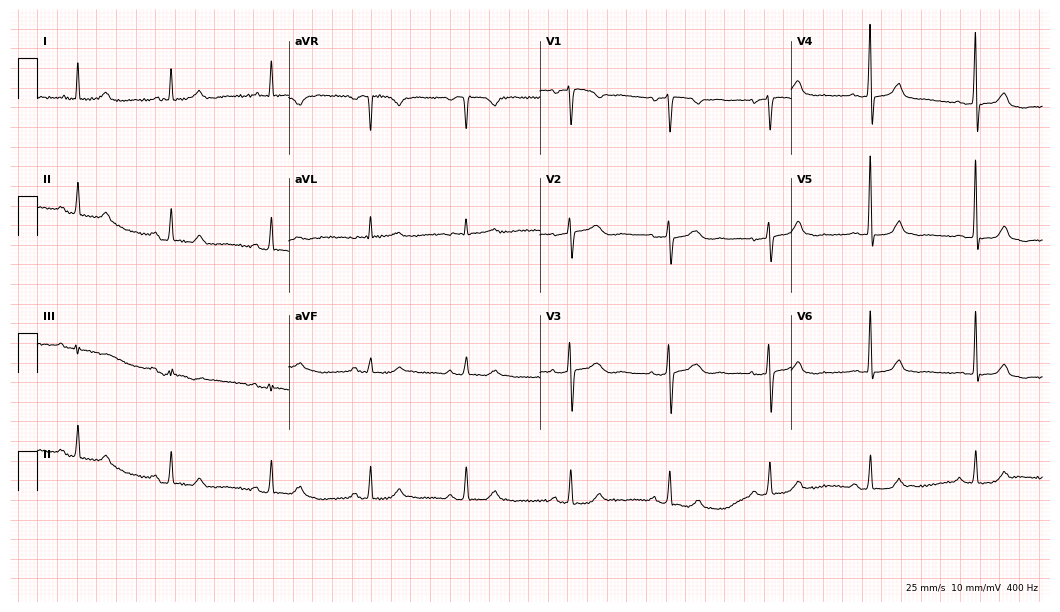
ECG — a 69-year-old female patient. Labelled as a normal ECG.